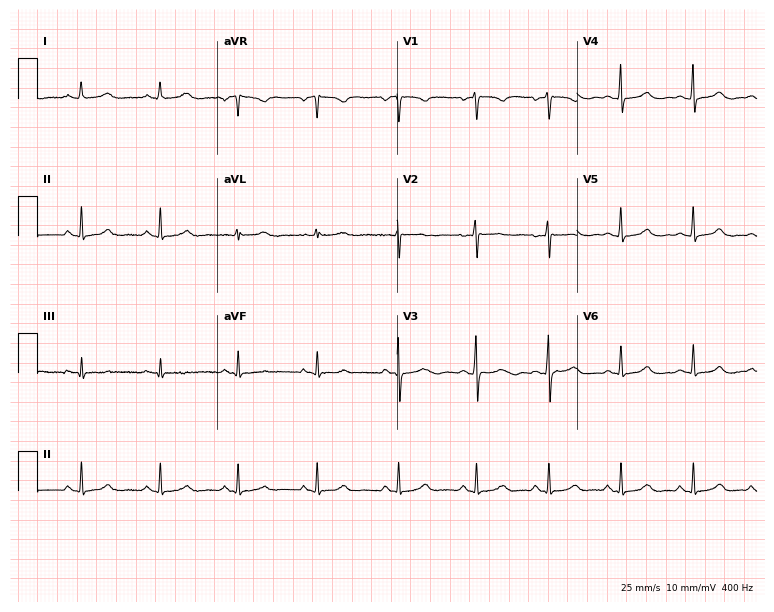
Electrocardiogram, a 28-year-old female. Overall reading on record: normal ECG.